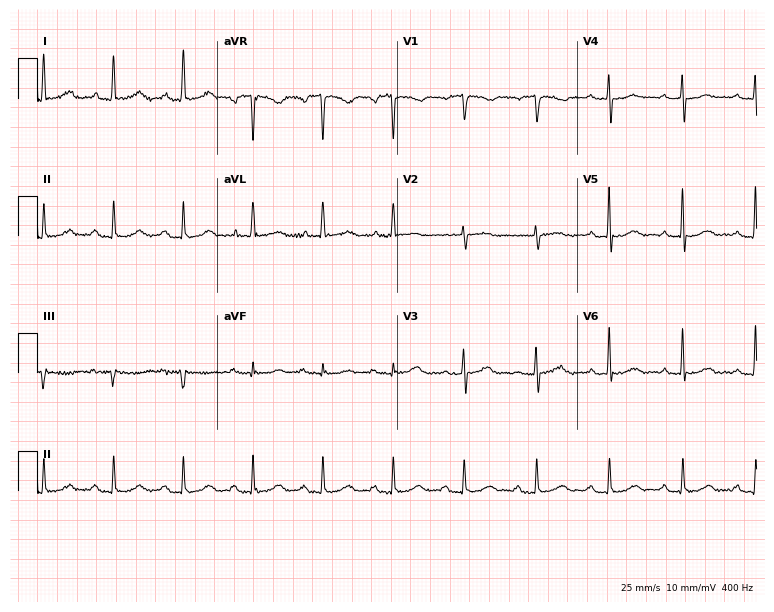
Resting 12-lead electrocardiogram (7.3-second recording at 400 Hz). Patient: a female, 62 years old. None of these six findings is recorded: first-degree AV block, right bundle branch block (RBBB), left bundle branch block (LBBB), sinus bradycardia, atrial fibrillation (AF), sinus tachycardia.